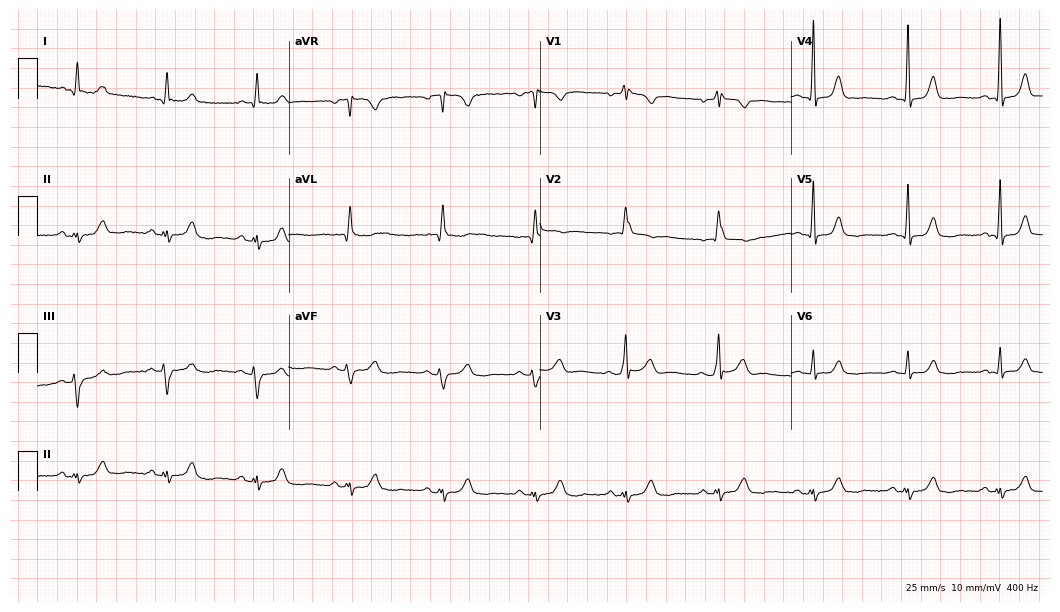
Resting 12-lead electrocardiogram. Patient: a 59-year-old man. None of these six findings is recorded: first-degree AV block, right bundle branch block, left bundle branch block, sinus bradycardia, atrial fibrillation, sinus tachycardia.